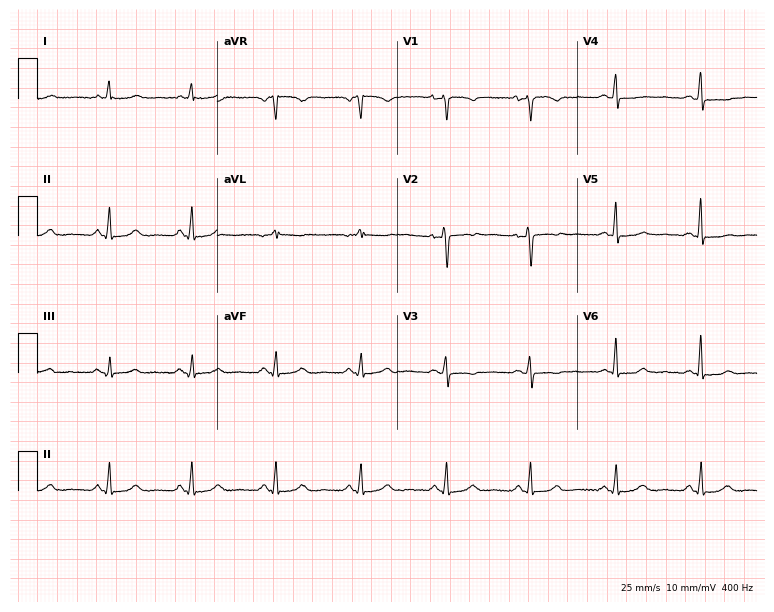
Resting 12-lead electrocardiogram (7.3-second recording at 400 Hz). Patient: a 49-year-old female. None of these six findings is recorded: first-degree AV block, right bundle branch block, left bundle branch block, sinus bradycardia, atrial fibrillation, sinus tachycardia. Only these six findings were labelled.